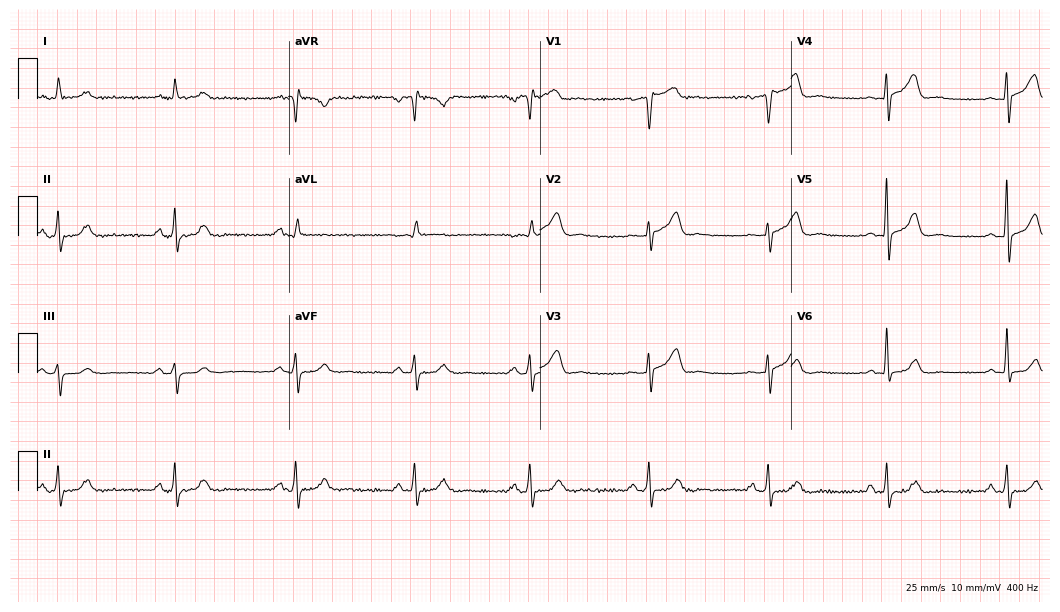
Electrocardiogram (10.2-second recording at 400 Hz), a 71-year-old male patient. Interpretation includes sinus bradycardia (a sinus rate of 50 beats per minute or less).